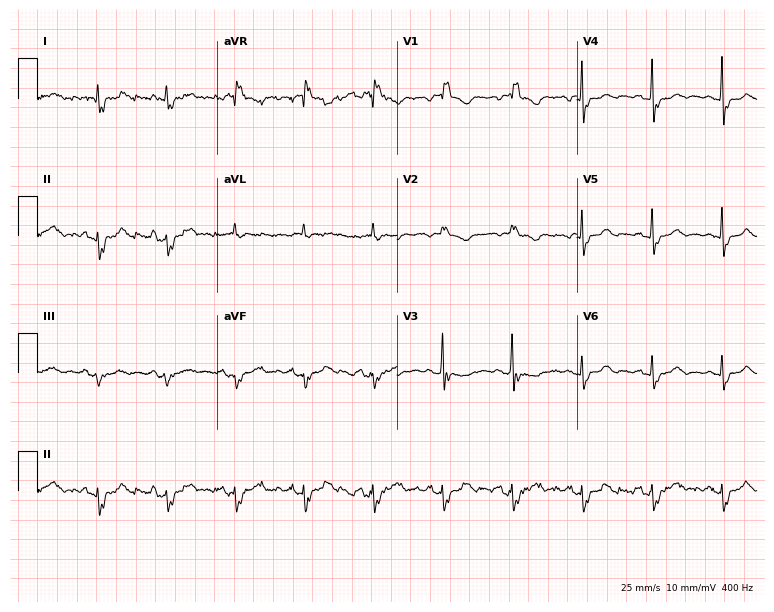
ECG (7.3-second recording at 400 Hz) — a 67-year-old woman. Findings include right bundle branch block.